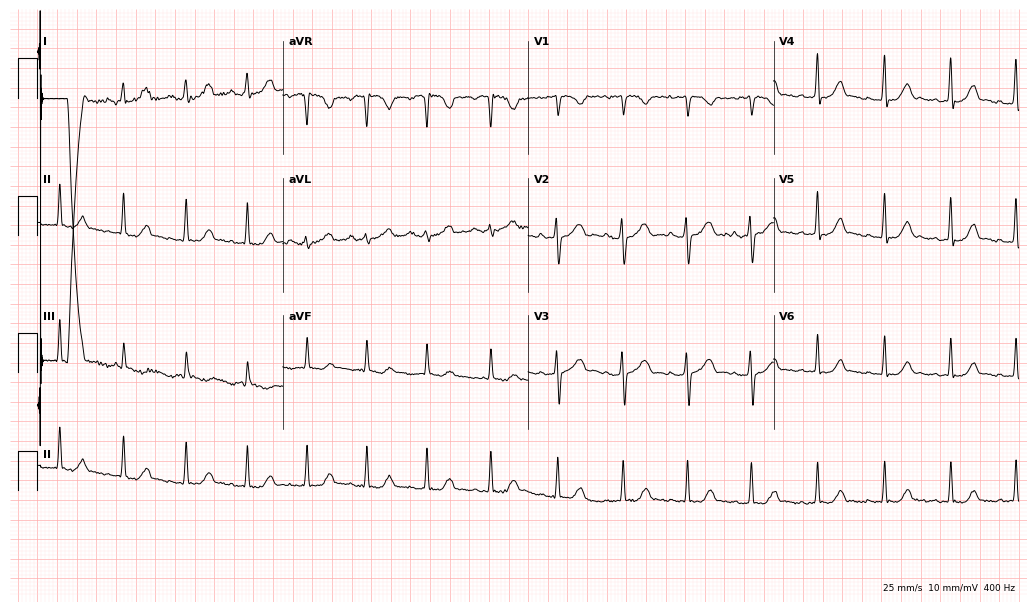
ECG — a woman, 18 years old. Labelled as a normal ECG.